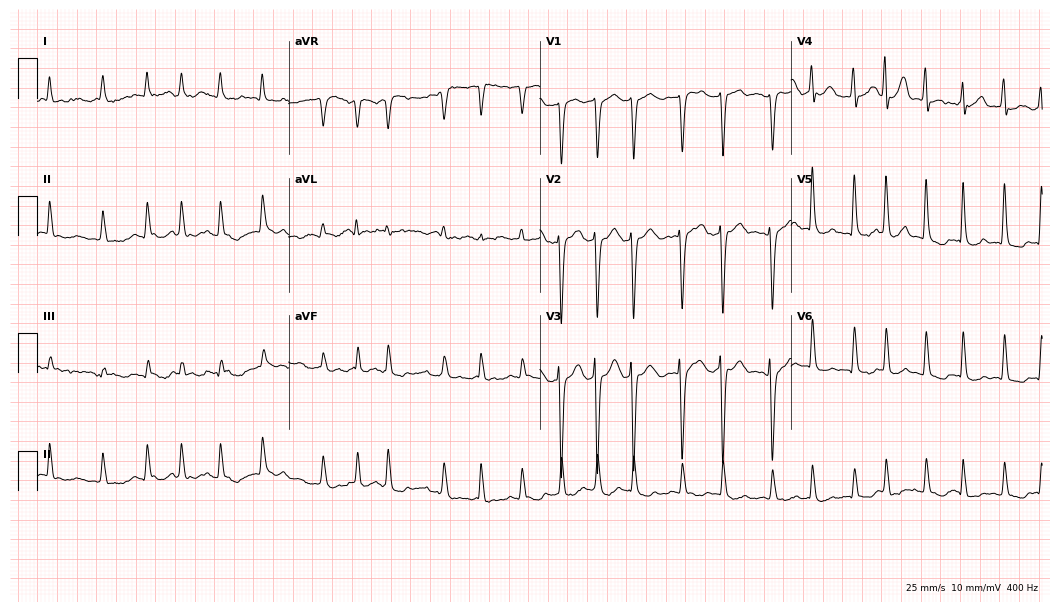
Resting 12-lead electrocardiogram. Patient: a 49-year-old male. The tracing shows atrial fibrillation.